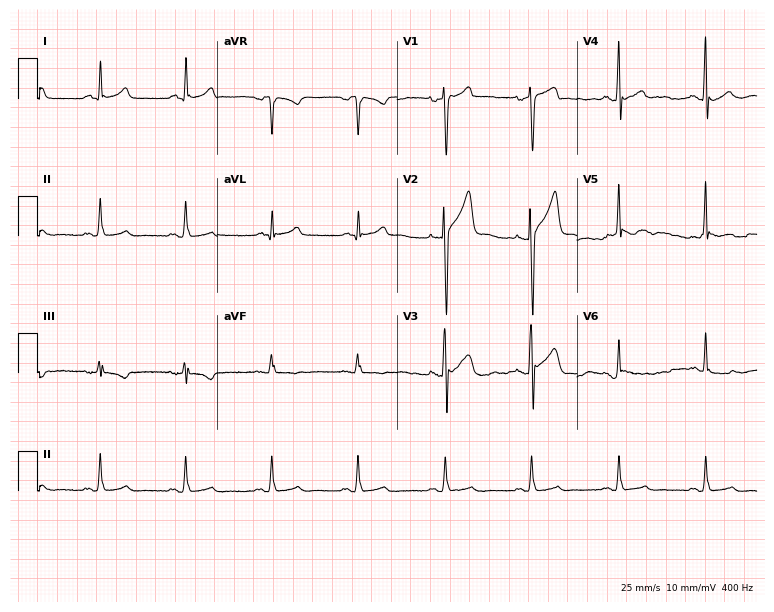
Resting 12-lead electrocardiogram (7.3-second recording at 400 Hz). Patient: a male, 61 years old. None of these six findings is recorded: first-degree AV block, right bundle branch block, left bundle branch block, sinus bradycardia, atrial fibrillation, sinus tachycardia.